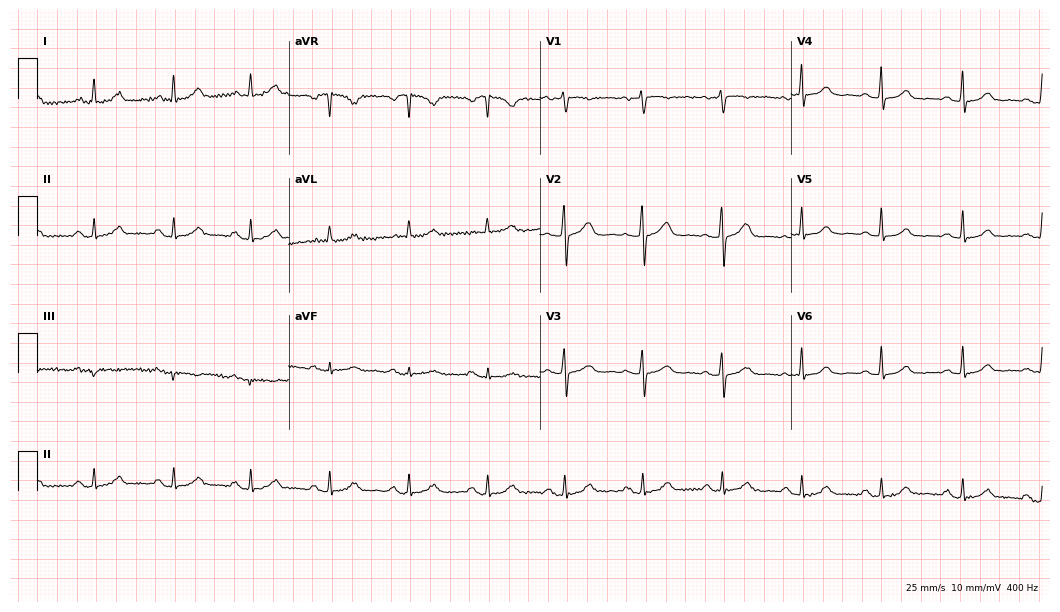
ECG (10.2-second recording at 400 Hz) — a 63-year-old female patient. Labelled as a normal ECG.